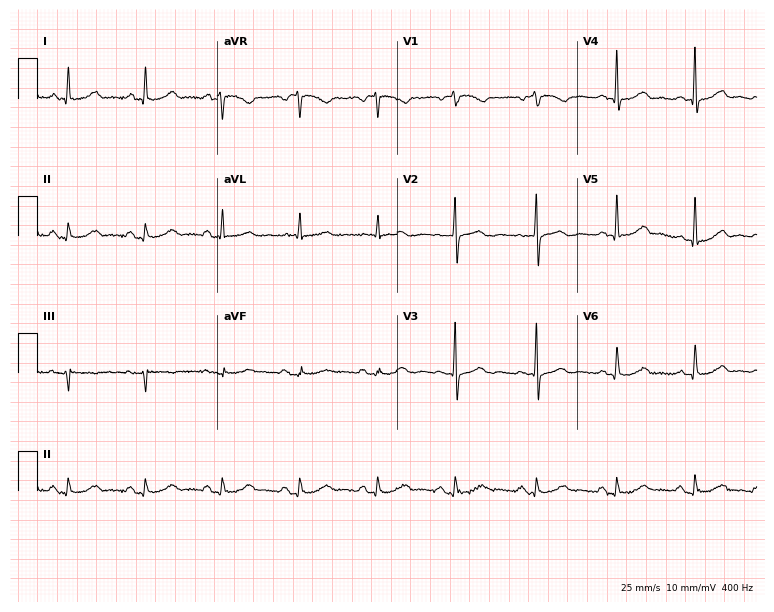
Standard 12-lead ECG recorded from a female patient, 83 years old. None of these six findings is recorded: first-degree AV block, right bundle branch block, left bundle branch block, sinus bradycardia, atrial fibrillation, sinus tachycardia. Findings outside these six are not listed.